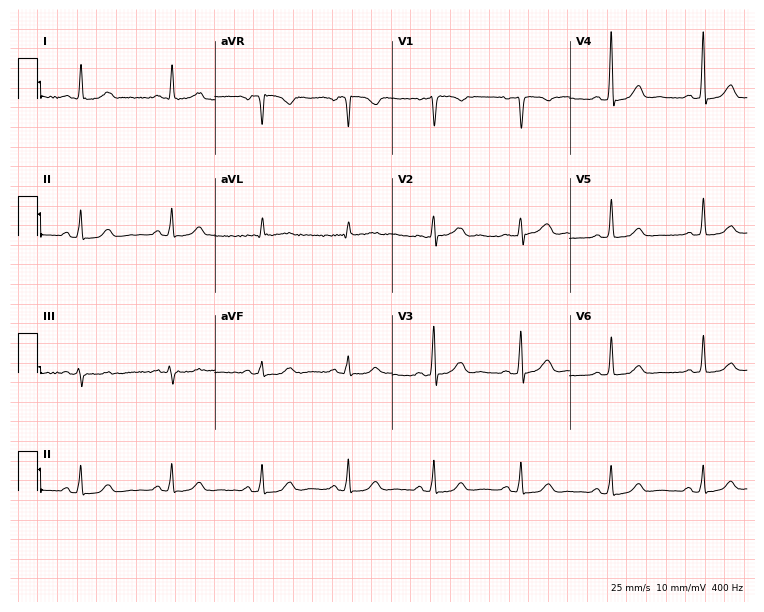
12-lead ECG from a woman, 59 years old (7.2-second recording at 400 Hz). Recorded interpretation: within normal limits.